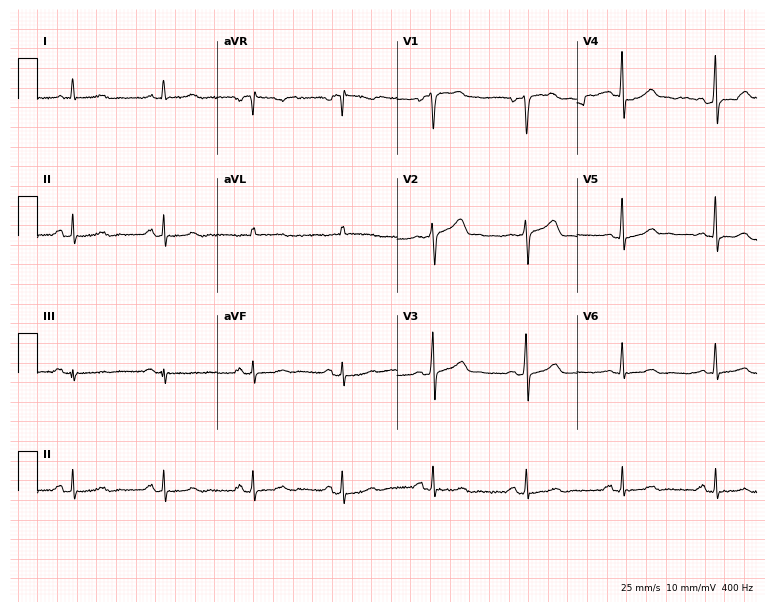
Electrocardiogram, a 61-year-old male patient. Of the six screened findings (first-degree AV block, right bundle branch block, left bundle branch block, sinus bradycardia, atrial fibrillation, sinus tachycardia), none is recorded.